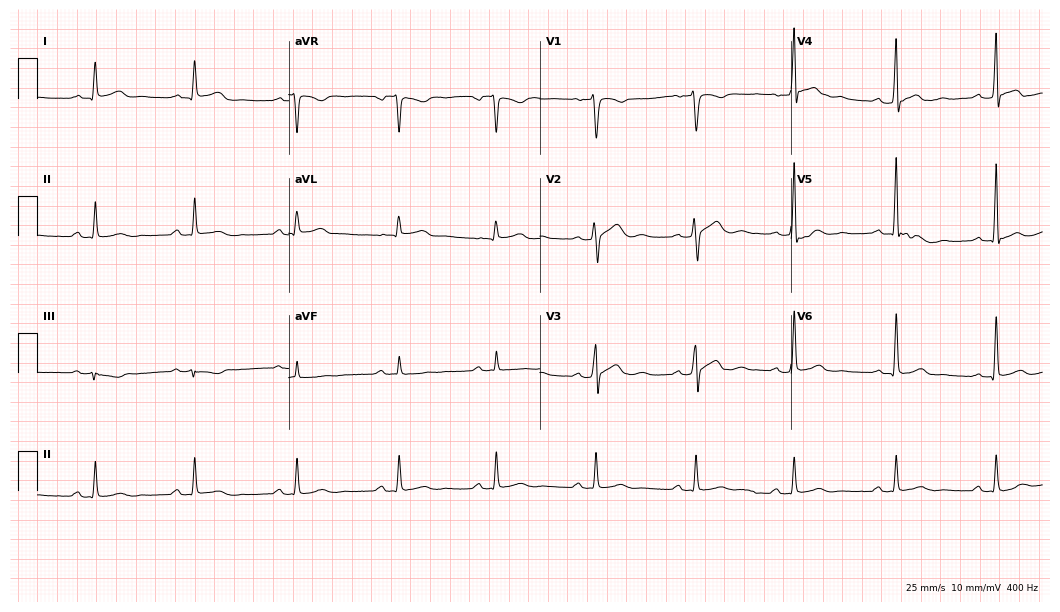
12-lead ECG (10.2-second recording at 400 Hz) from a male, 47 years old. Screened for six findings — first-degree AV block, right bundle branch block, left bundle branch block, sinus bradycardia, atrial fibrillation, sinus tachycardia — none is recorded.